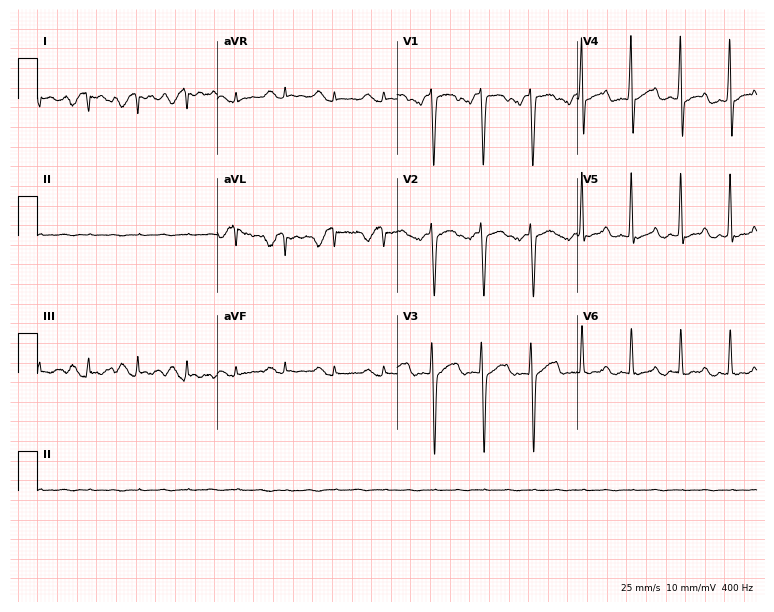
12-lead ECG (7.3-second recording at 400 Hz) from a male, 59 years old. Findings include sinus tachycardia (a sinus rate of 100 beats per minute or more).